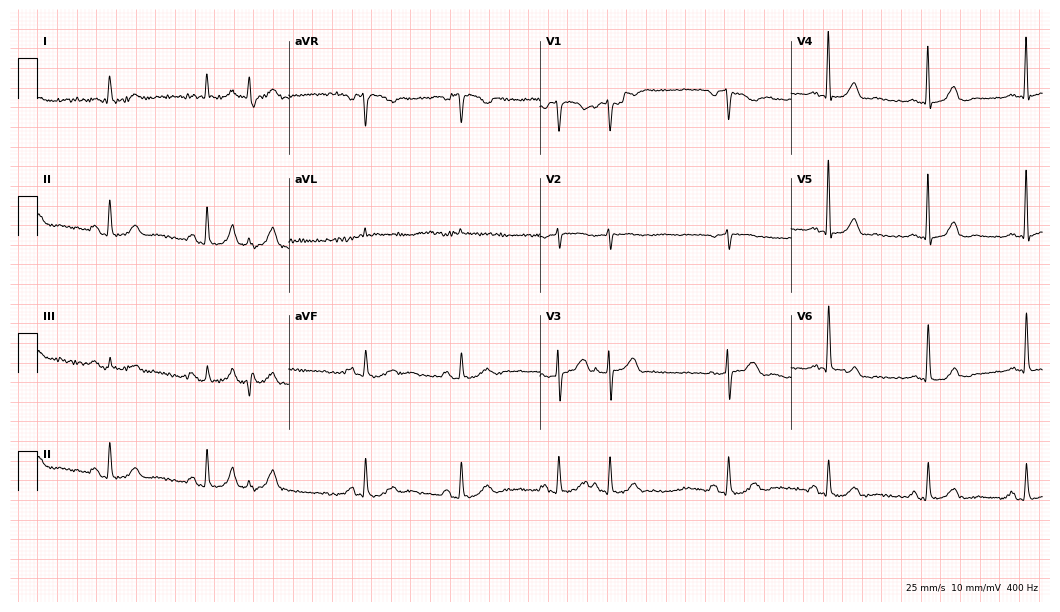
12-lead ECG (10.2-second recording at 400 Hz) from a male patient, 77 years old. Screened for six findings — first-degree AV block, right bundle branch block, left bundle branch block, sinus bradycardia, atrial fibrillation, sinus tachycardia — none is recorded.